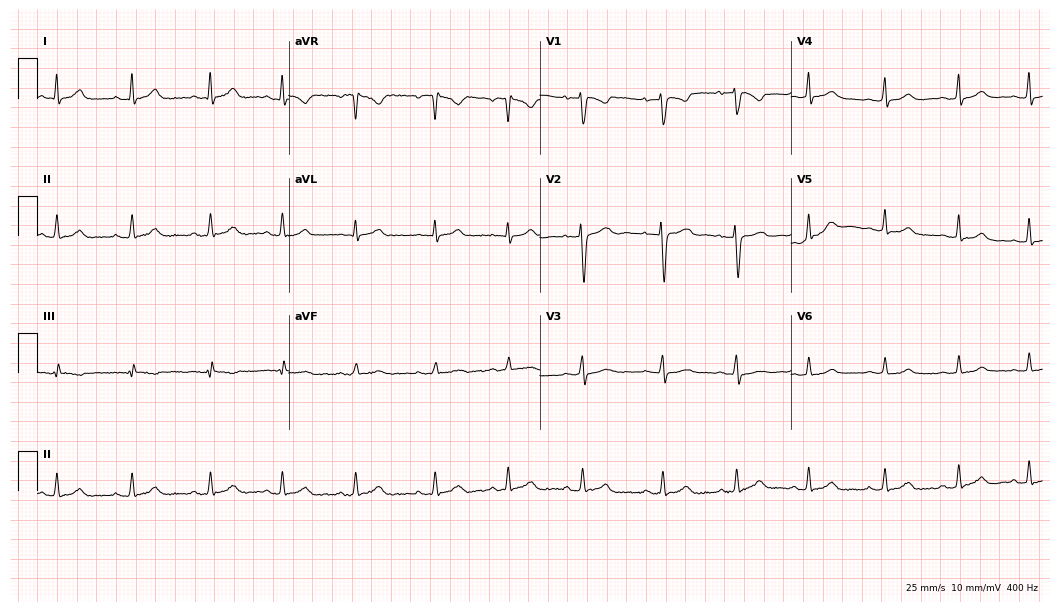
ECG — a woman, 24 years old. Labelled as a normal ECG.